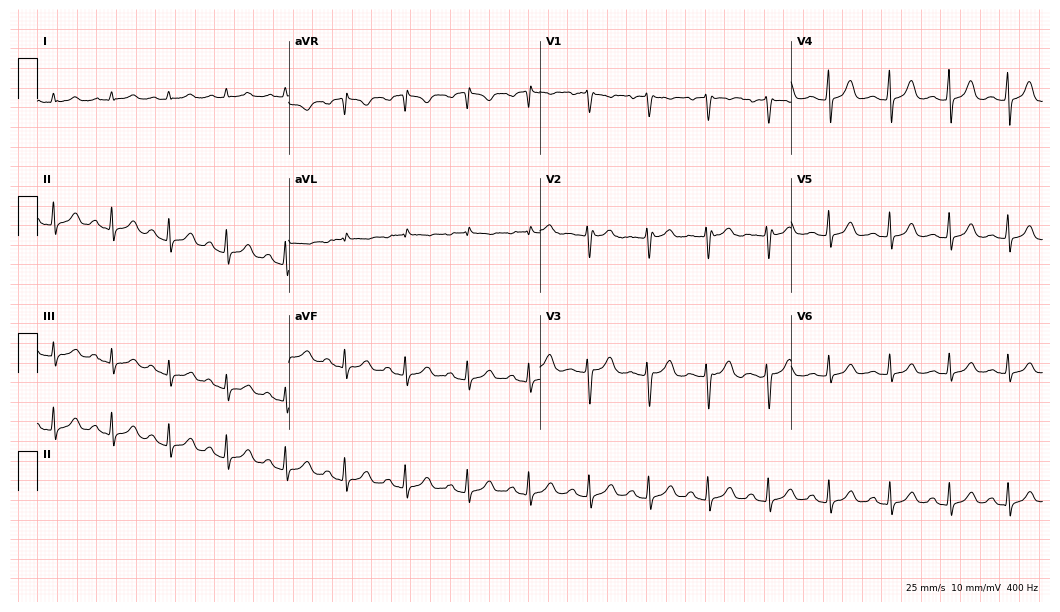
Electrocardiogram (10.2-second recording at 400 Hz), a 38-year-old woman. Overall reading on record: normal ECG.